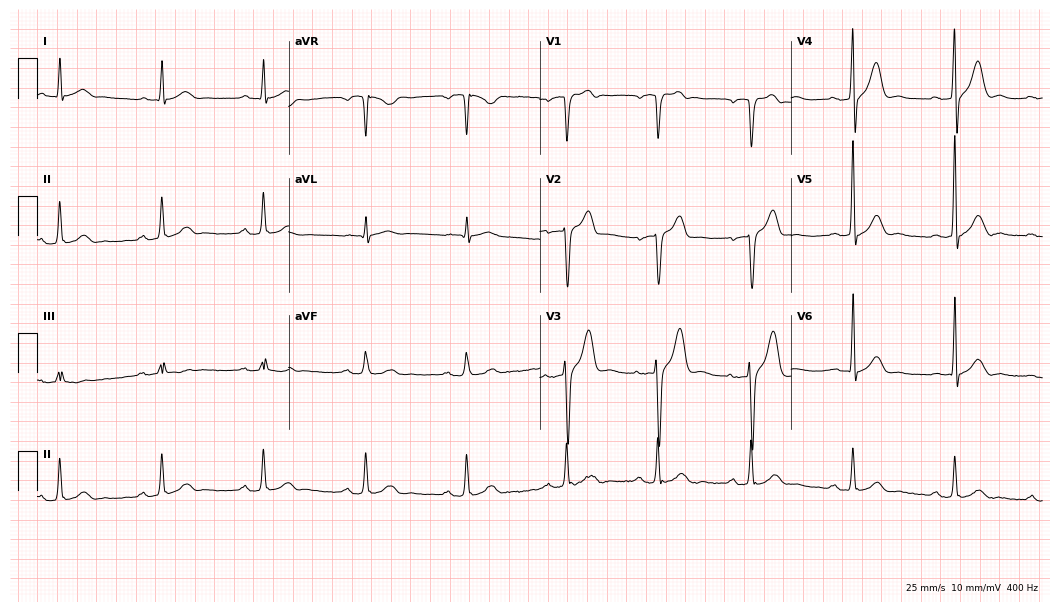
12-lead ECG from a 63-year-old man (10.2-second recording at 400 Hz). Recorded interpretation: within normal limits.